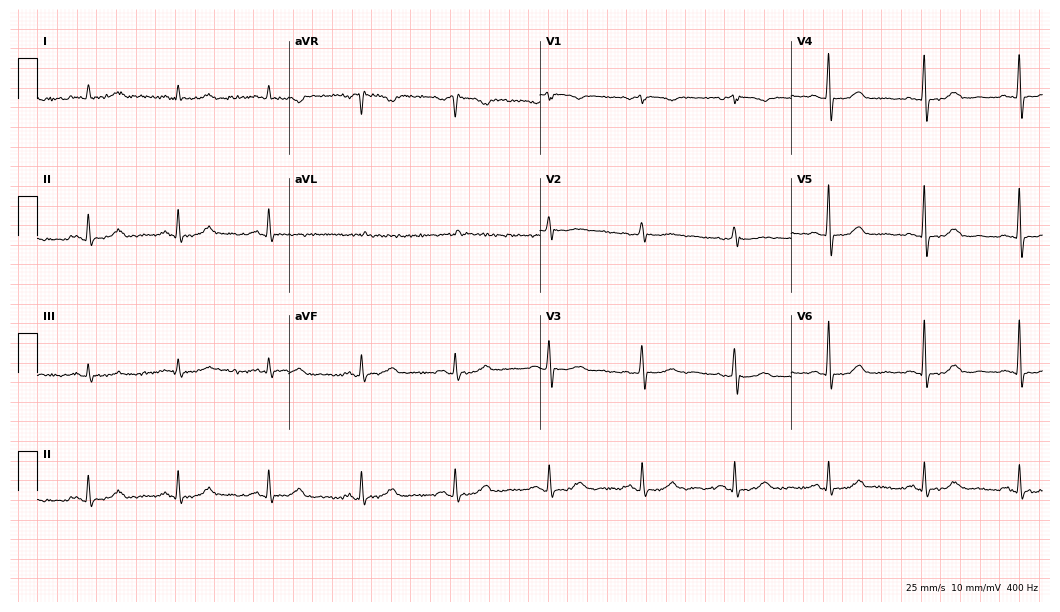
Electrocardiogram, a female patient, 82 years old. Of the six screened findings (first-degree AV block, right bundle branch block, left bundle branch block, sinus bradycardia, atrial fibrillation, sinus tachycardia), none is recorded. Only these six findings were labelled.